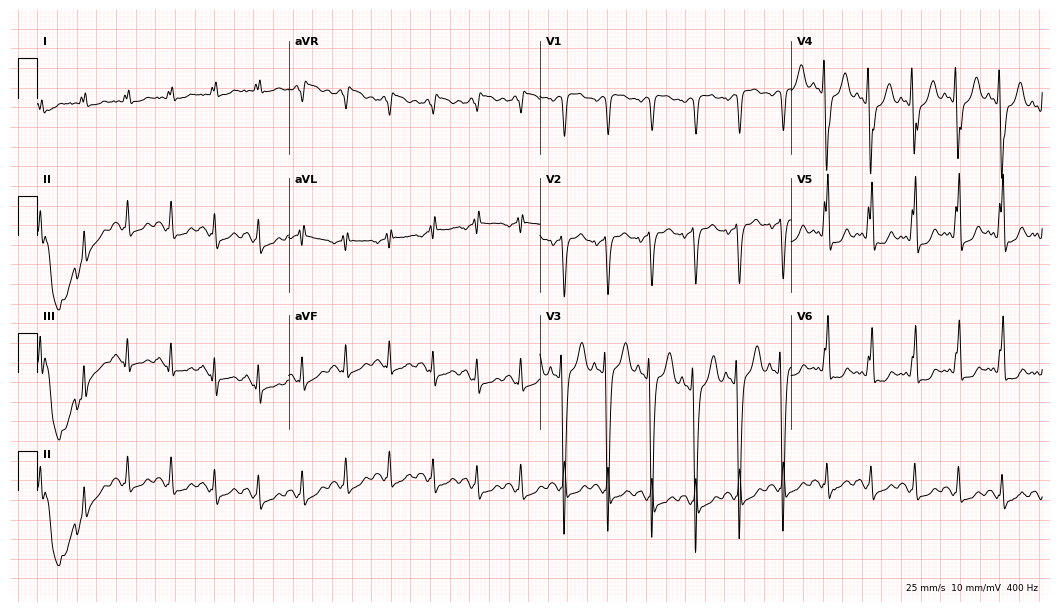
12-lead ECG from a male, 71 years old. Shows sinus tachycardia (a sinus rate of 100 beats per minute or more).